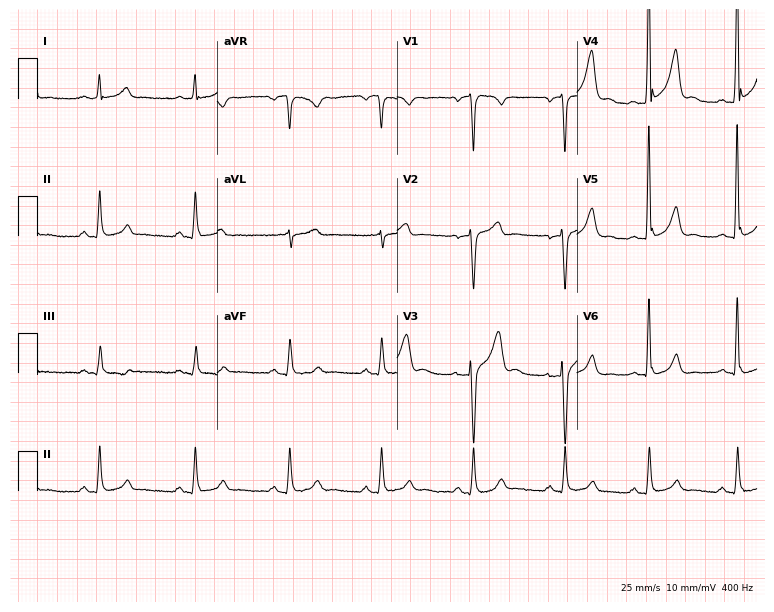
Electrocardiogram (7.3-second recording at 400 Hz), a male, 32 years old. Overall reading on record: normal ECG.